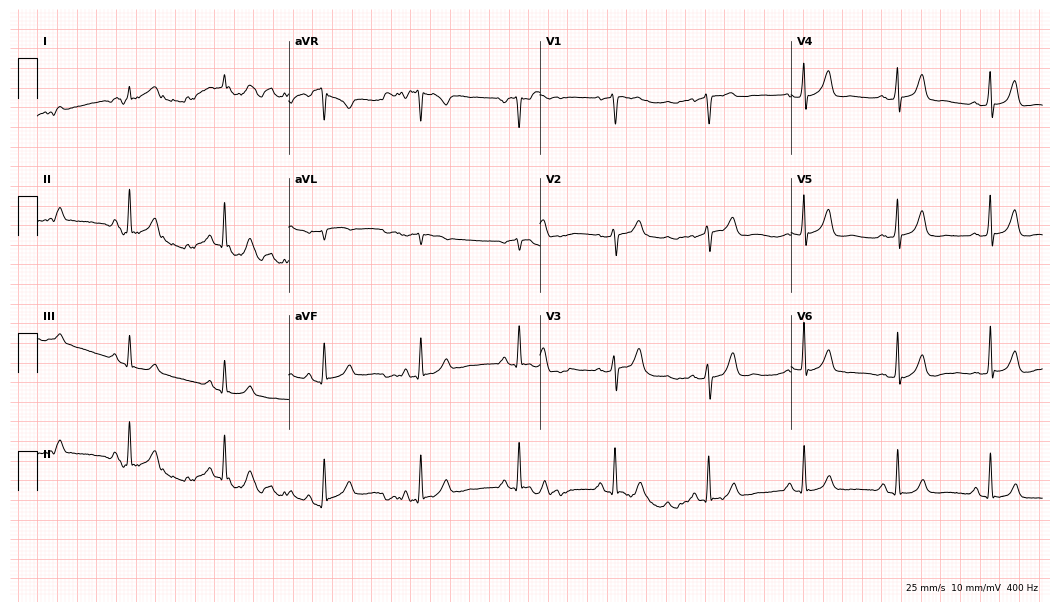
Resting 12-lead electrocardiogram. Patient: a male, 64 years old. Read as a normal ECG.